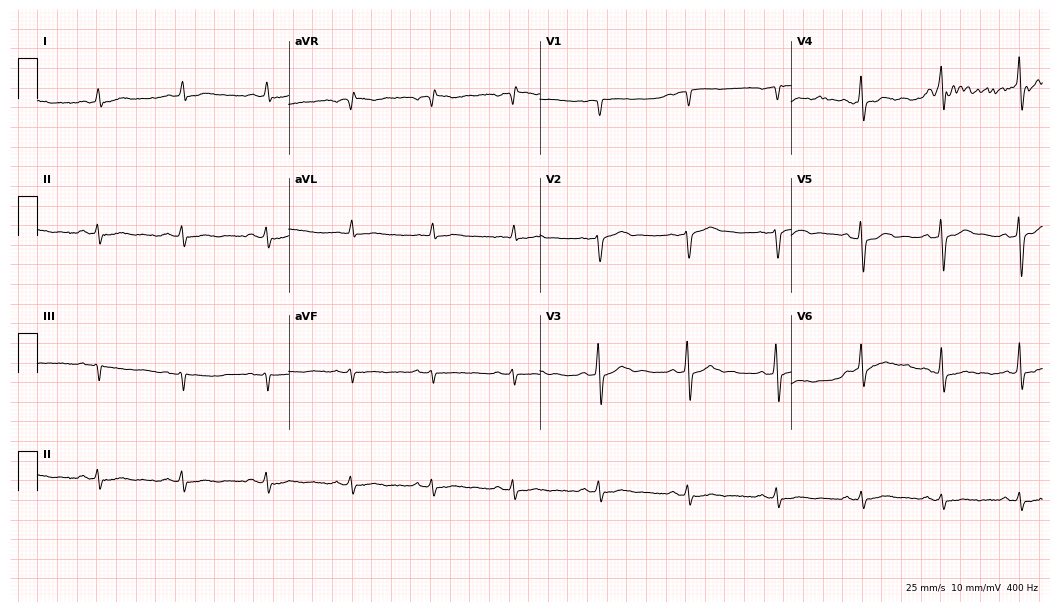
12-lead ECG from a male, 55 years old (10.2-second recording at 400 Hz). No first-degree AV block, right bundle branch block, left bundle branch block, sinus bradycardia, atrial fibrillation or sinus tachycardia recorded for this tracing. Findings outside these six are not listed.